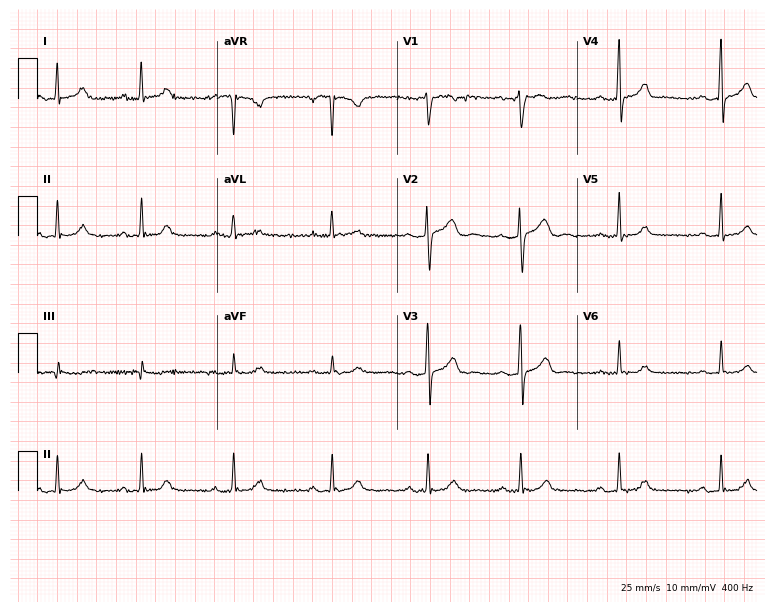
Resting 12-lead electrocardiogram (7.3-second recording at 400 Hz). Patient: a 30-year-old woman. None of these six findings is recorded: first-degree AV block, right bundle branch block, left bundle branch block, sinus bradycardia, atrial fibrillation, sinus tachycardia. Other findings, if any, are not listed.